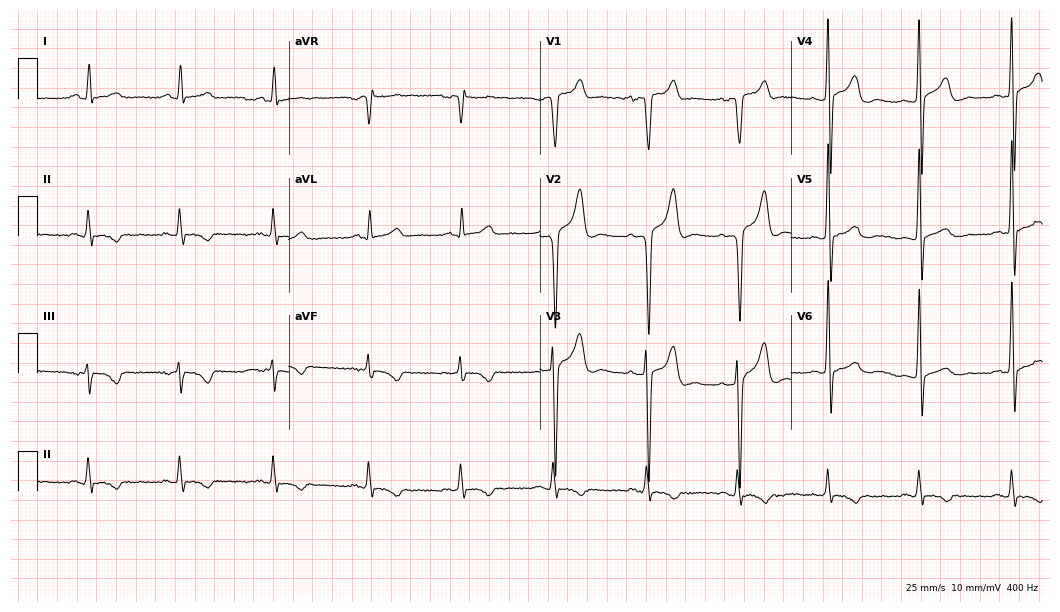
ECG (10.2-second recording at 400 Hz) — a 48-year-old male. Screened for six findings — first-degree AV block, right bundle branch block (RBBB), left bundle branch block (LBBB), sinus bradycardia, atrial fibrillation (AF), sinus tachycardia — none is recorded.